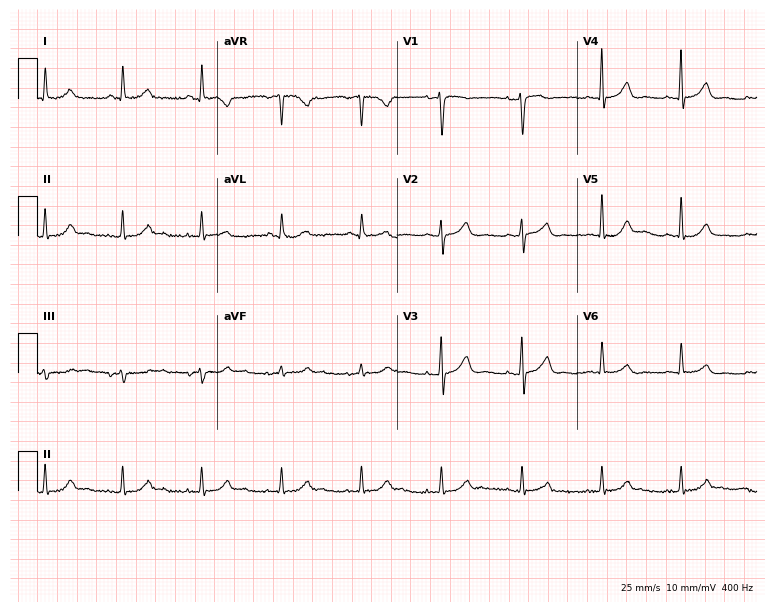
Resting 12-lead electrocardiogram. Patient: a 66-year-old male. Read as a normal ECG.